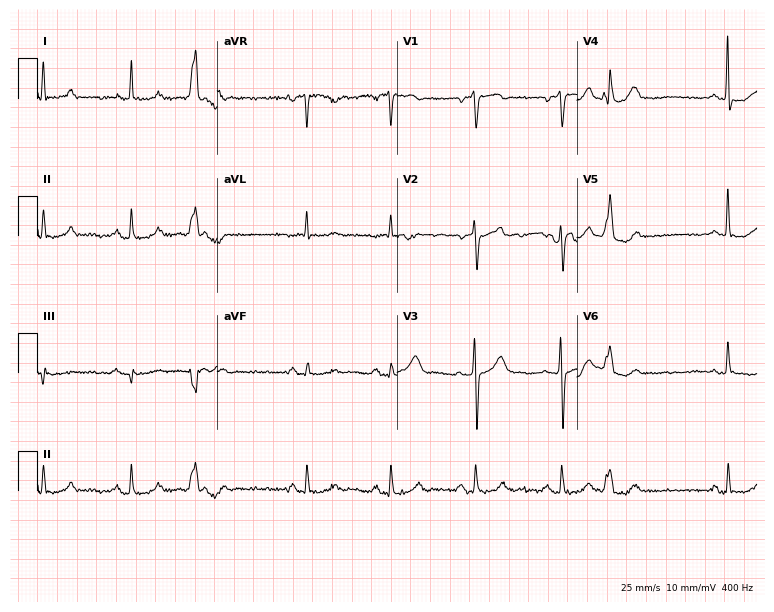
12-lead ECG (7.3-second recording at 400 Hz) from a 64-year-old male. Labelled as a normal ECG.